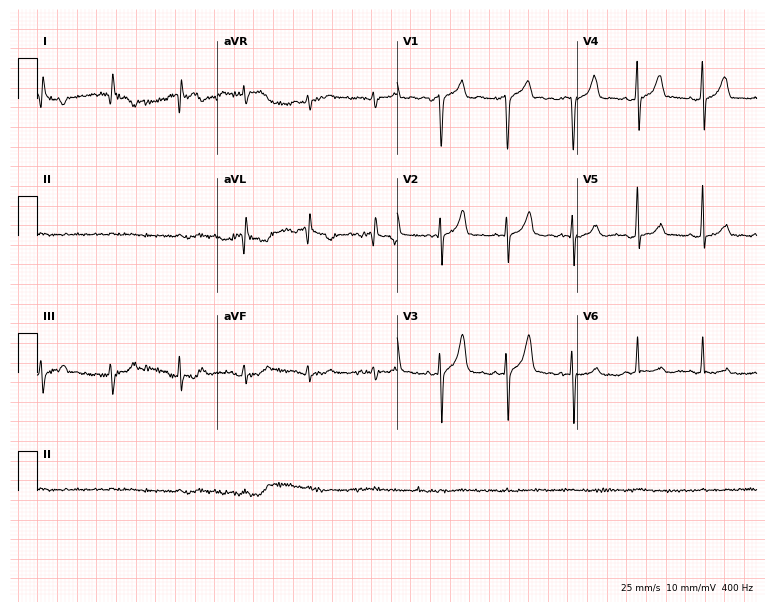
ECG (7.3-second recording at 400 Hz) — a 79-year-old female patient. Screened for six findings — first-degree AV block, right bundle branch block (RBBB), left bundle branch block (LBBB), sinus bradycardia, atrial fibrillation (AF), sinus tachycardia — none is recorded. Findings outside these six are not listed.